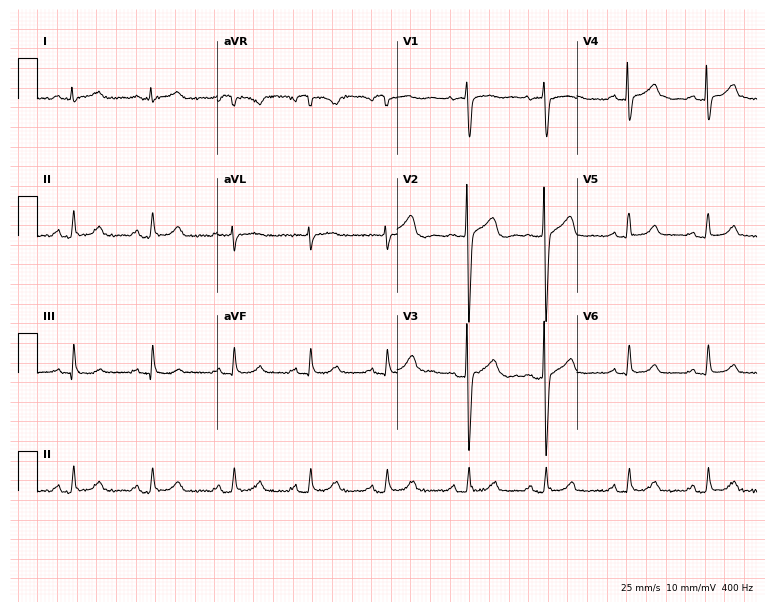
Electrocardiogram (7.3-second recording at 400 Hz), a 62-year-old male. Overall reading on record: normal ECG.